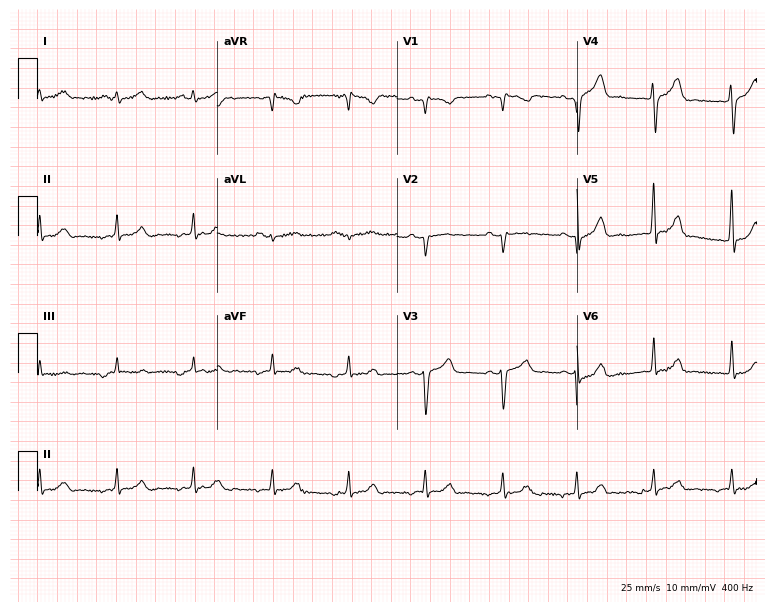
Resting 12-lead electrocardiogram (7.3-second recording at 400 Hz). Patient: a woman, 33 years old. None of these six findings is recorded: first-degree AV block, right bundle branch block, left bundle branch block, sinus bradycardia, atrial fibrillation, sinus tachycardia. Other findings, if any, are not listed.